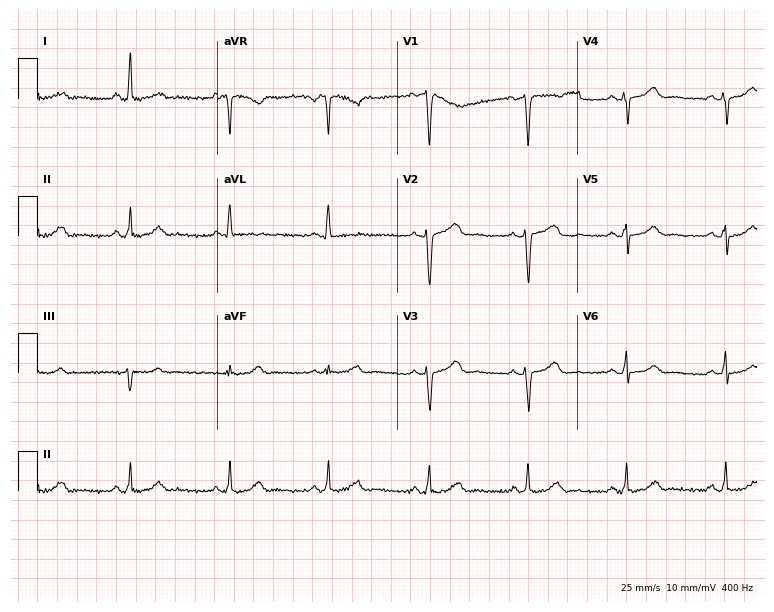
12-lead ECG from a female, 49 years old. Screened for six findings — first-degree AV block, right bundle branch block, left bundle branch block, sinus bradycardia, atrial fibrillation, sinus tachycardia — none is recorded.